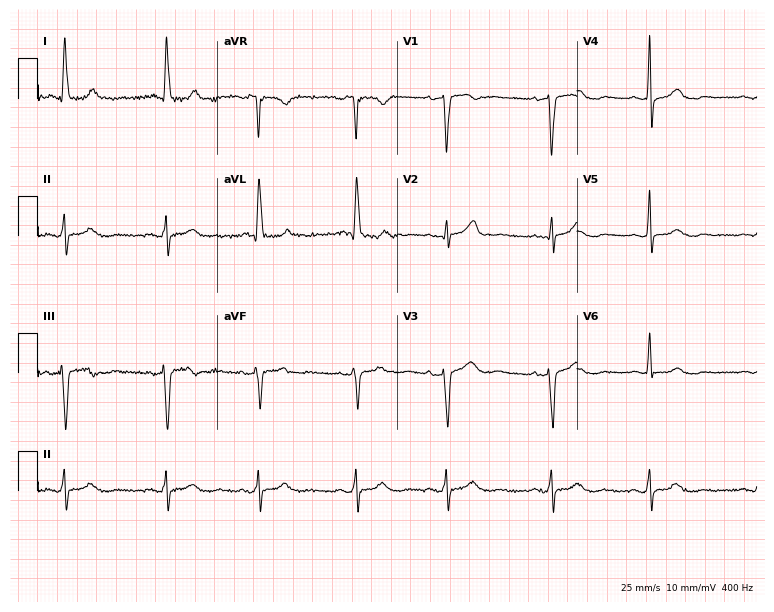
Resting 12-lead electrocardiogram. Patient: an 85-year-old female. Read as a normal ECG.